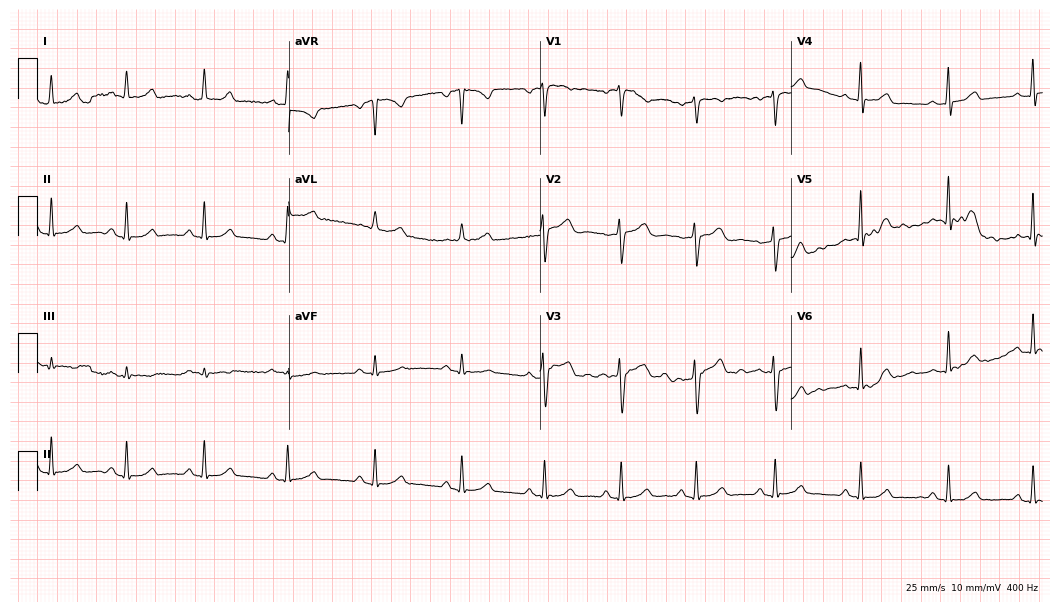
Electrocardiogram, a 52-year-old female patient. Overall reading on record: normal ECG.